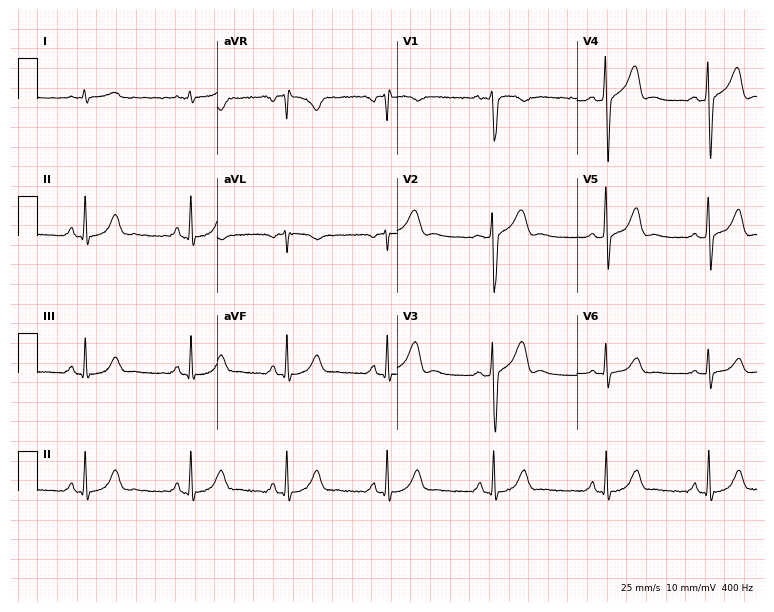
Electrocardiogram, a 38-year-old male patient. Overall reading on record: normal ECG.